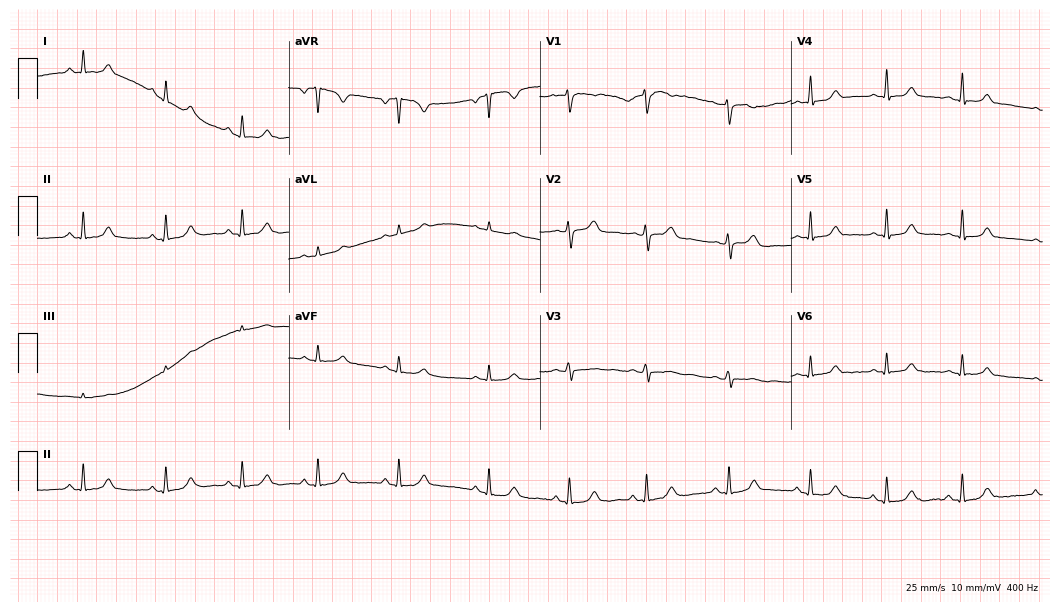
Standard 12-lead ECG recorded from a woman, 27 years old (10.2-second recording at 400 Hz). Read as a normal ECG.